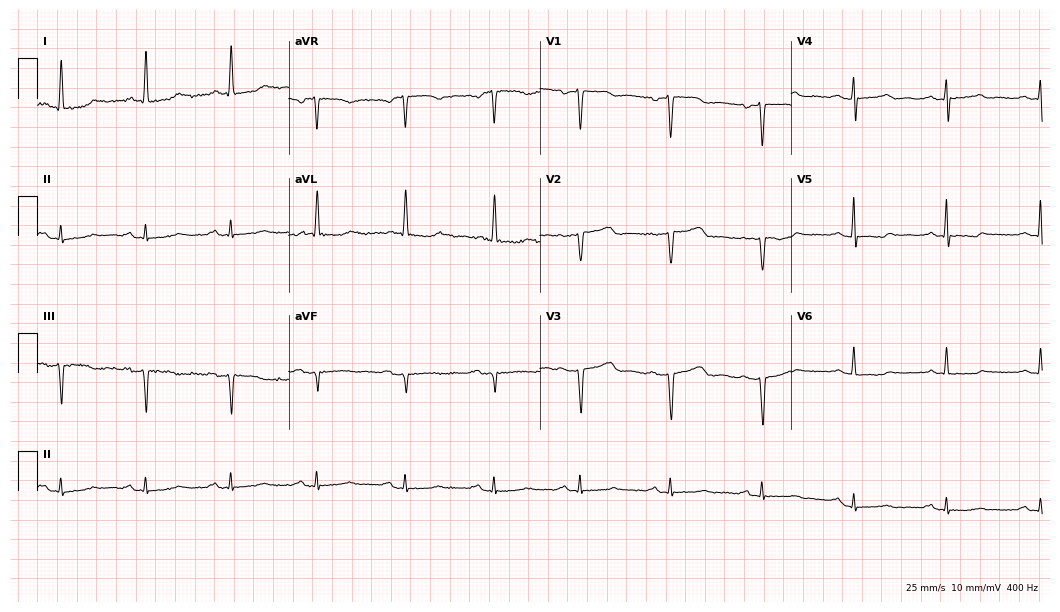
12-lead ECG from a 74-year-old female patient. Screened for six findings — first-degree AV block, right bundle branch block (RBBB), left bundle branch block (LBBB), sinus bradycardia, atrial fibrillation (AF), sinus tachycardia — none is recorded. Findings outside these six are not listed.